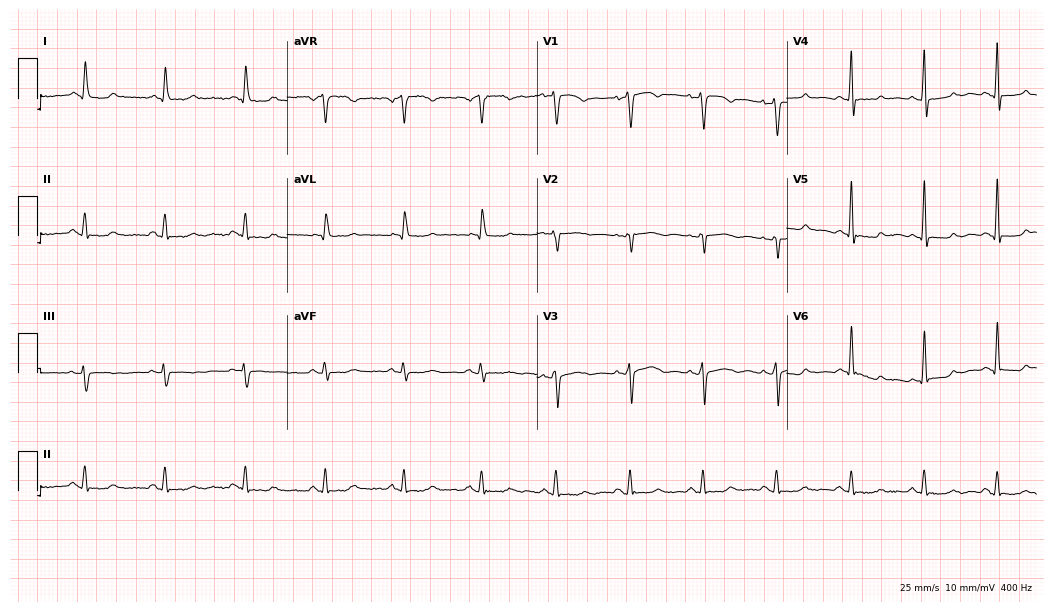
12-lead ECG from a female, 58 years old (10.2-second recording at 400 Hz). Recorded interpretation: within normal limits.